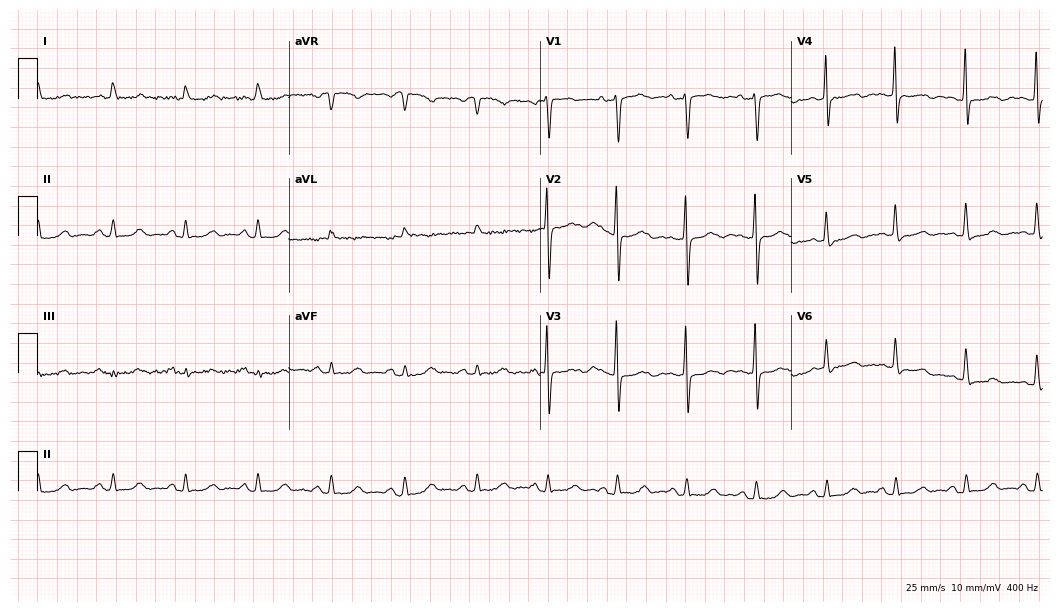
12-lead ECG from a female, 70 years old. Labelled as a normal ECG.